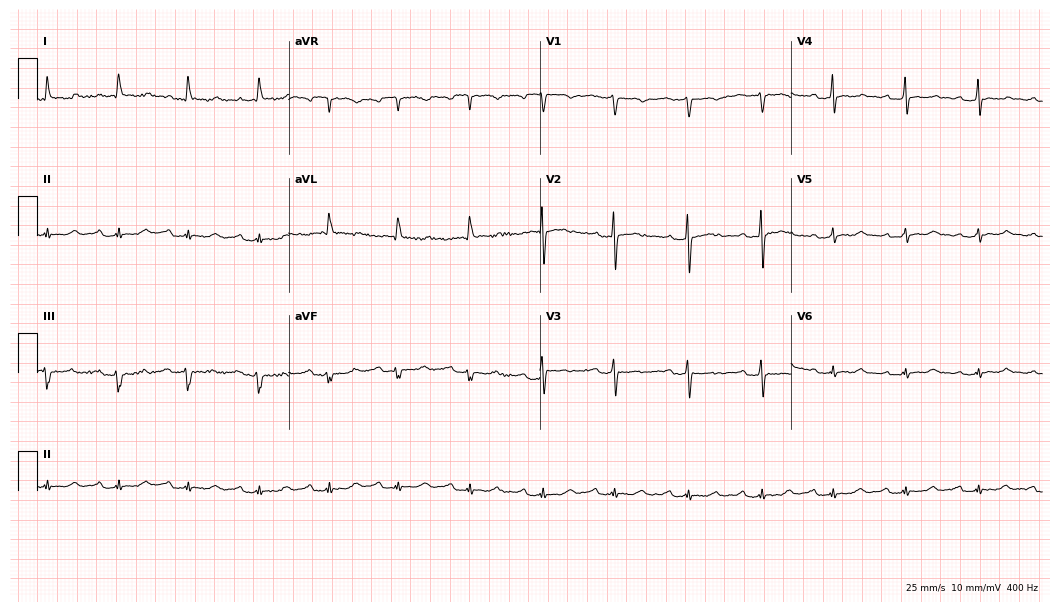
Resting 12-lead electrocardiogram. Patient: a 74-year-old woman. Read as a normal ECG.